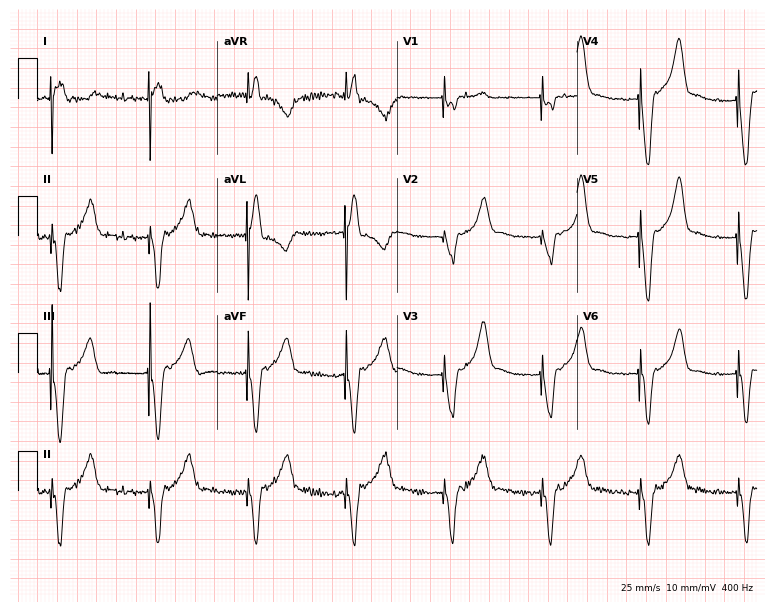
Resting 12-lead electrocardiogram (7.3-second recording at 400 Hz). Patient: a female, 55 years old. None of these six findings is recorded: first-degree AV block, right bundle branch block, left bundle branch block, sinus bradycardia, atrial fibrillation, sinus tachycardia. Other findings, if any, are not listed.